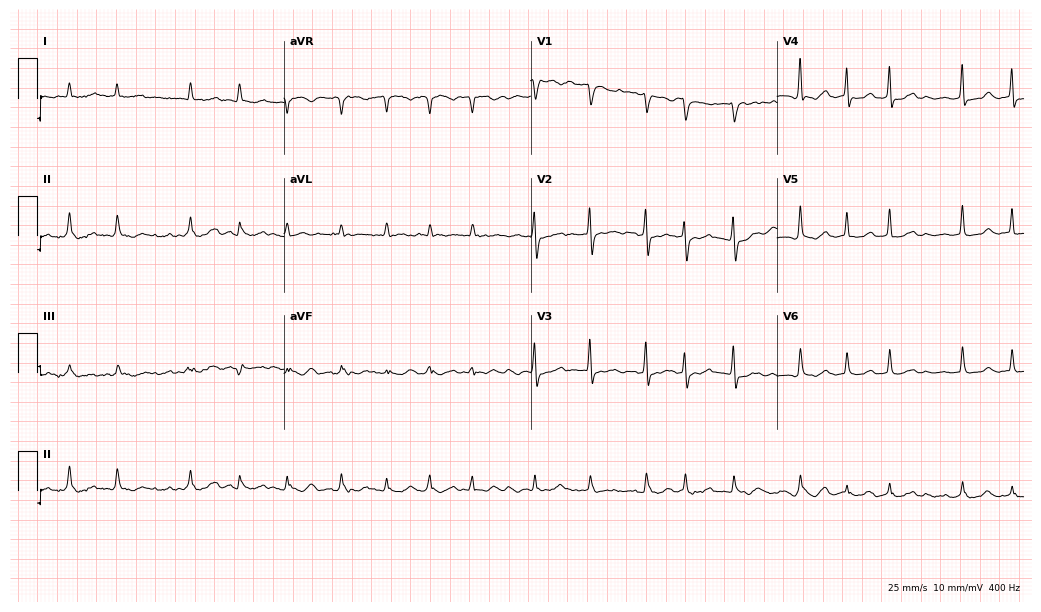
12-lead ECG from a woman, 66 years old. Shows atrial fibrillation.